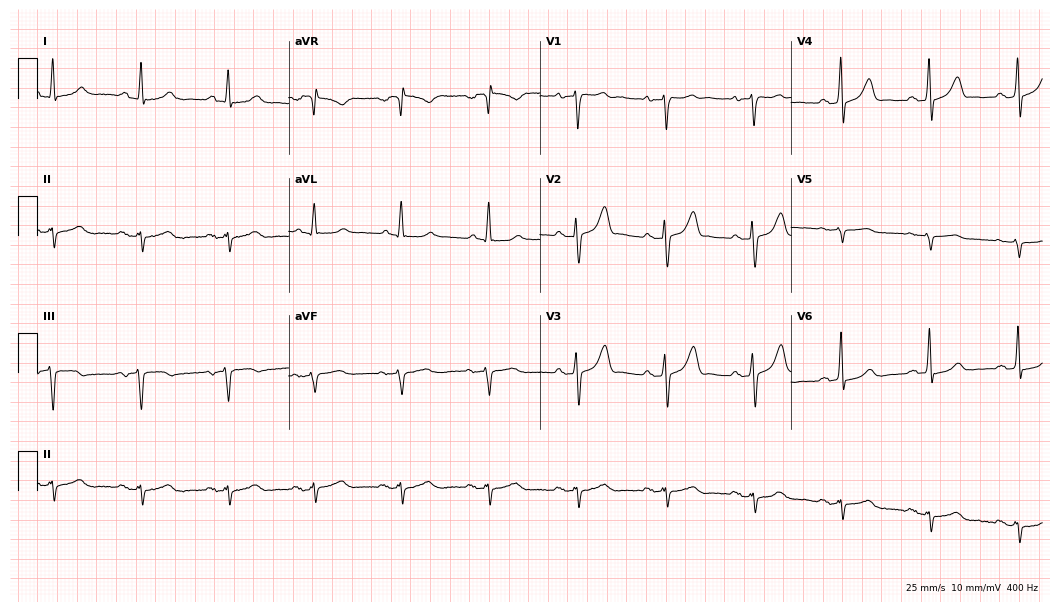
12-lead ECG (10.2-second recording at 400 Hz) from a 57-year-old man. Screened for six findings — first-degree AV block, right bundle branch block, left bundle branch block, sinus bradycardia, atrial fibrillation, sinus tachycardia — none is recorded.